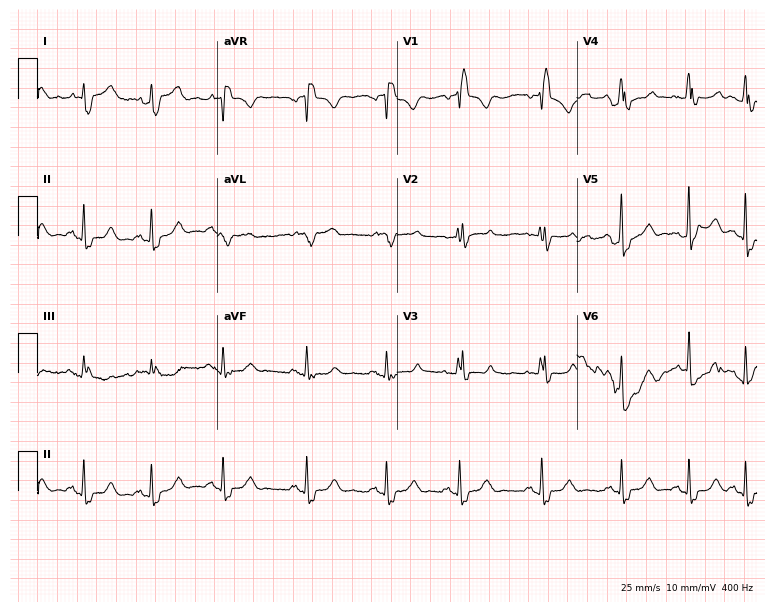
12-lead ECG from a female, 80 years old. Shows right bundle branch block (RBBB).